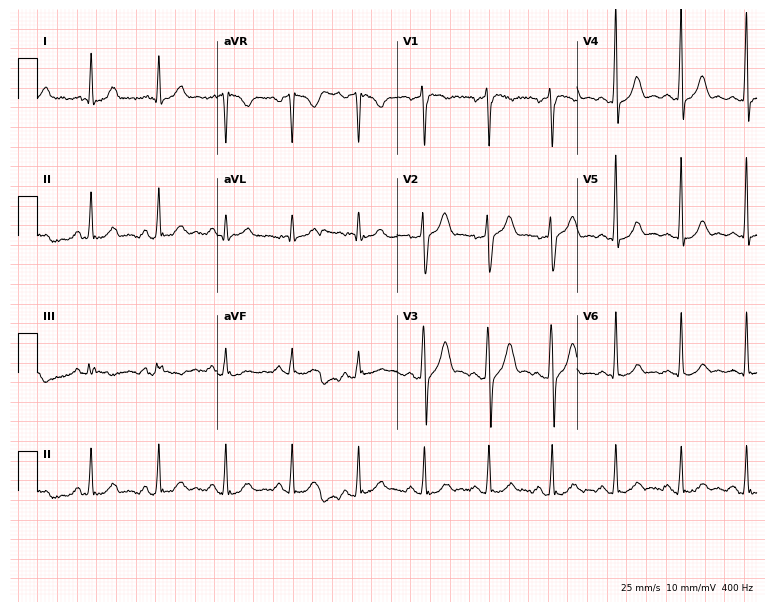
12-lead ECG from a male patient, 43 years old. Recorded interpretation: within normal limits.